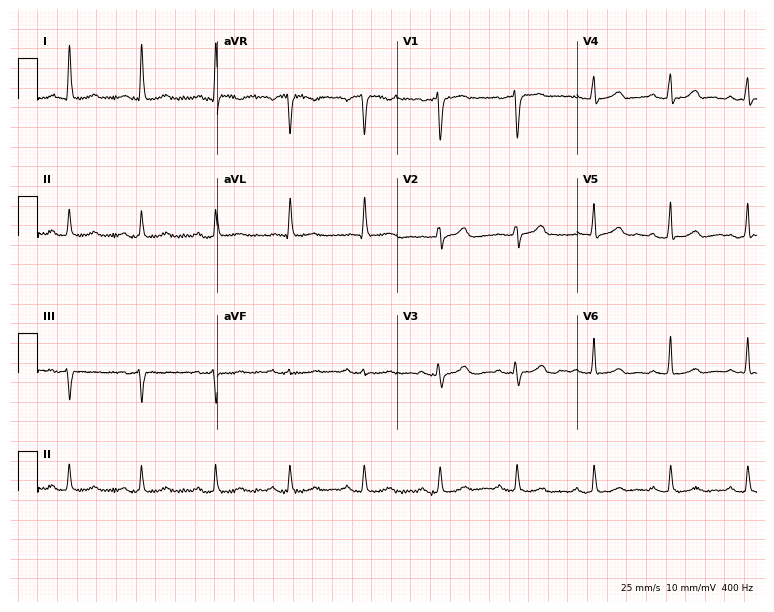
ECG (7.3-second recording at 400 Hz) — a 68-year-old female patient. Screened for six findings — first-degree AV block, right bundle branch block, left bundle branch block, sinus bradycardia, atrial fibrillation, sinus tachycardia — none is recorded.